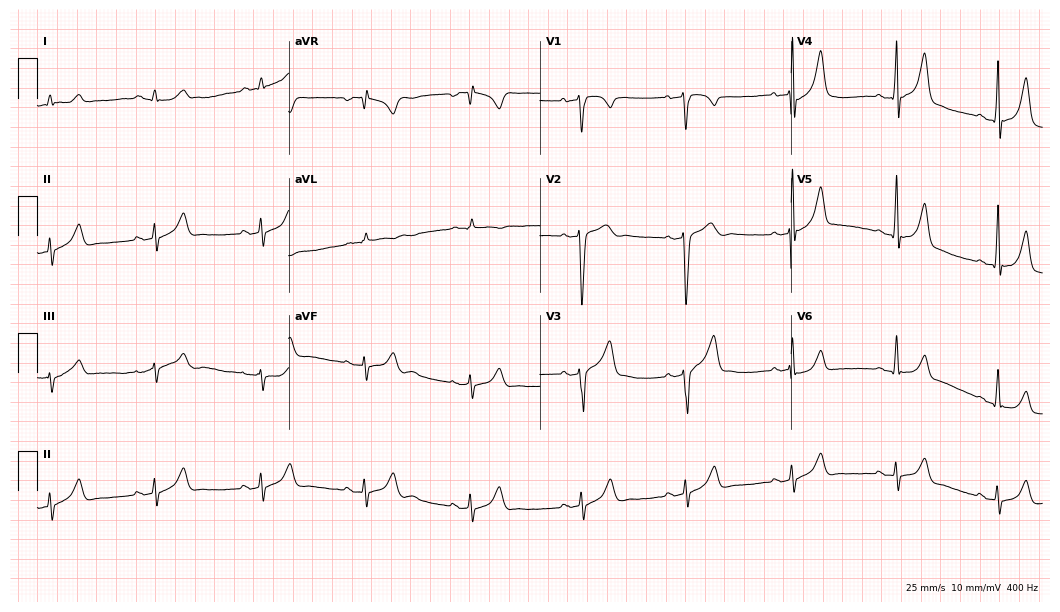
12-lead ECG from a male, 36 years old (10.2-second recording at 400 Hz). Recorded interpretation: within normal limits.